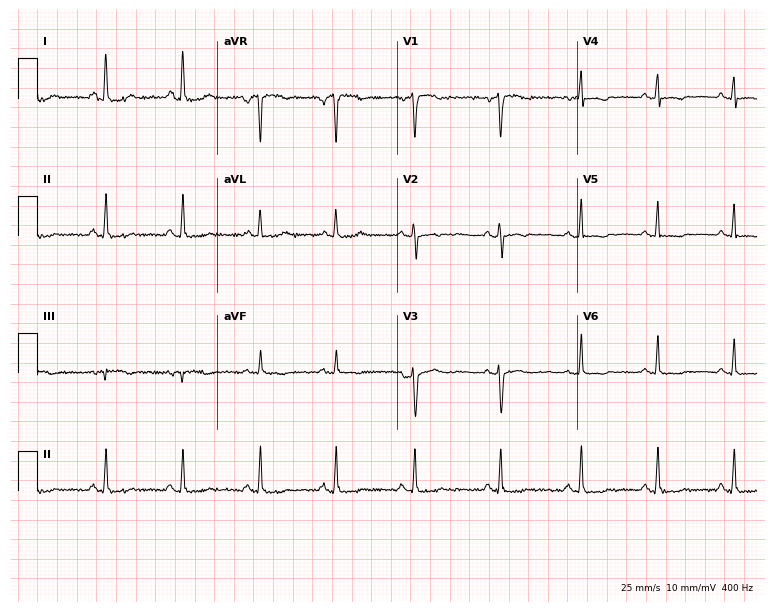
ECG (7.3-second recording at 400 Hz) — a female patient, 50 years old. Screened for six findings — first-degree AV block, right bundle branch block, left bundle branch block, sinus bradycardia, atrial fibrillation, sinus tachycardia — none is recorded.